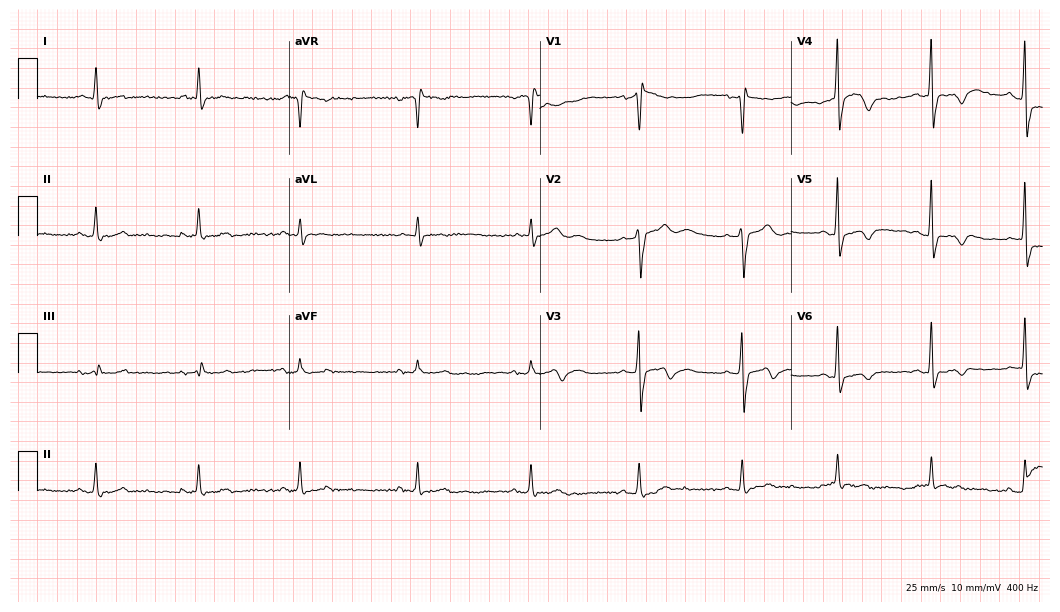
12-lead ECG from a female patient, 72 years old. No first-degree AV block, right bundle branch block, left bundle branch block, sinus bradycardia, atrial fibrillation or sinus tachycardia recorded for this tracing. Only these six findings were labelled.